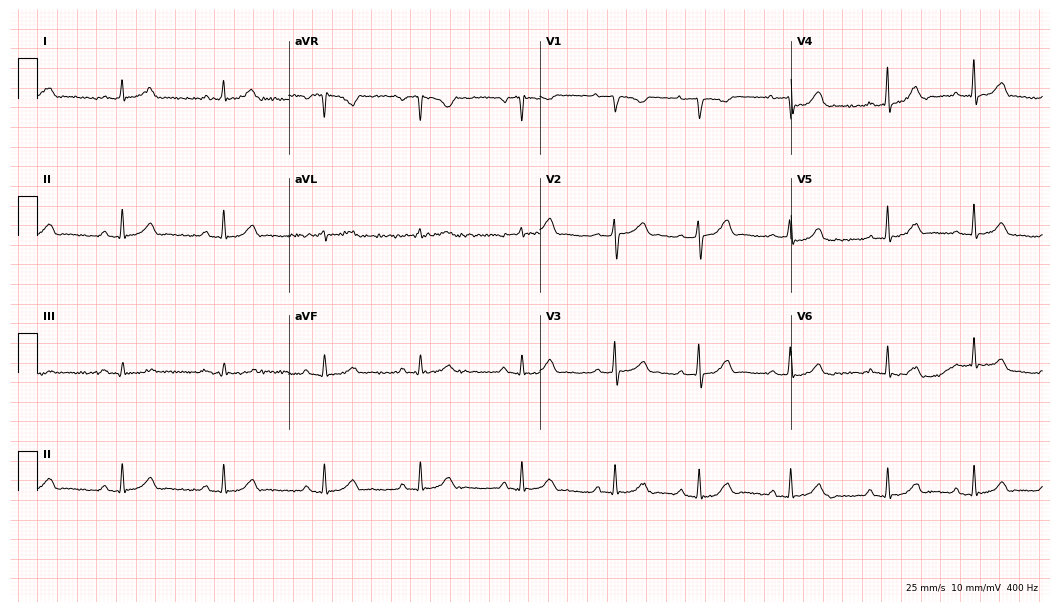
ECG — a female patient, 30 years old. Labelled as a normal ECG.